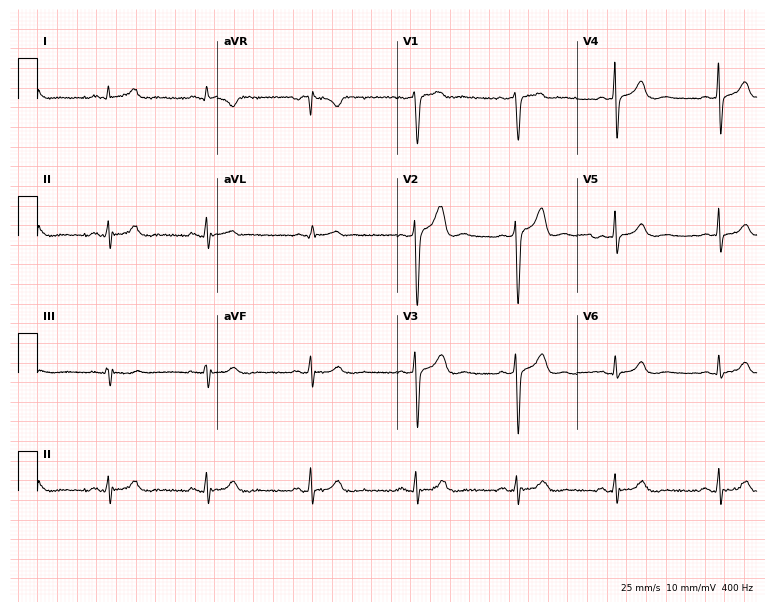
Resting 12-lead electrocardiogram. Patient: a 43-year-old male. None of these six findings is recorded: first-degree AV block, right bundle branch block, left bundle branch block, sinus bradycardia, atrial fibrillation, sinus tachycardia.